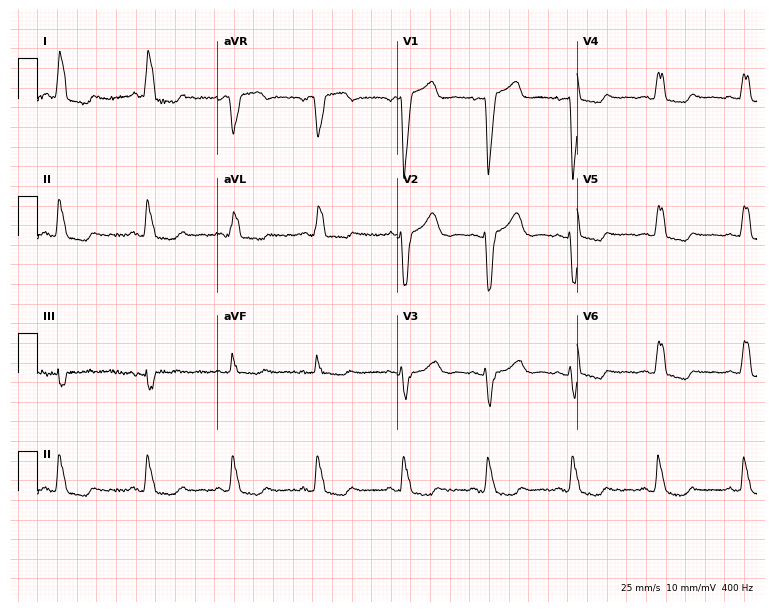
12-lead ECG from a female, 74 years old (7.3-second recording at 400 Hz). Shows left bundle branch block (LBBB).